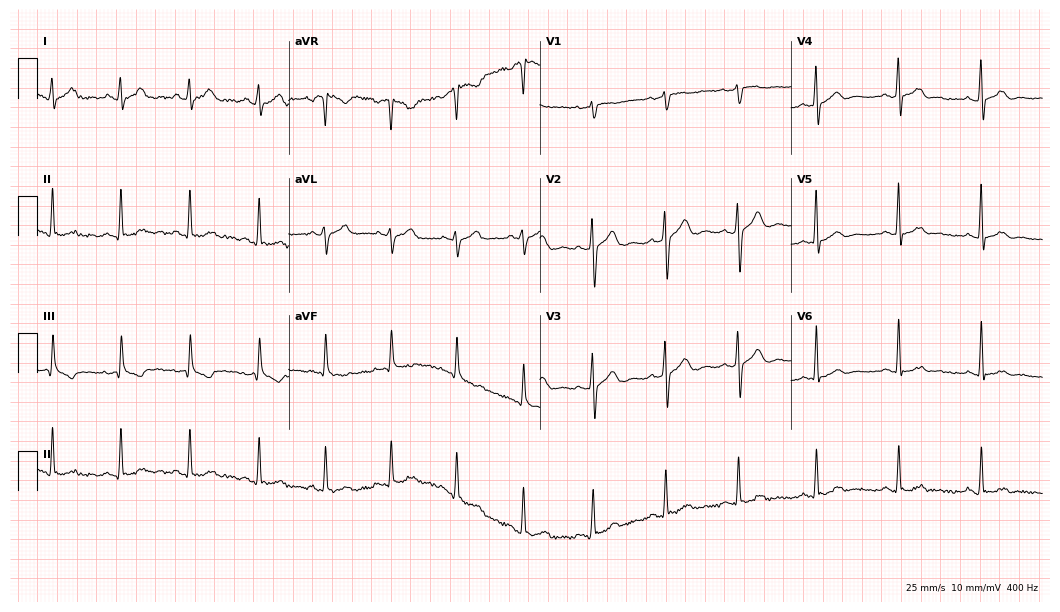
Standard 12-lead ECG recorded from a man, 35 years old. None of these six findings is recorded: first-degree AV block, right bundle branch block, left bundle branch block, sinus bradycardia, atrial fibrillation, sinus tachycardia. Only these six findings were labelled.